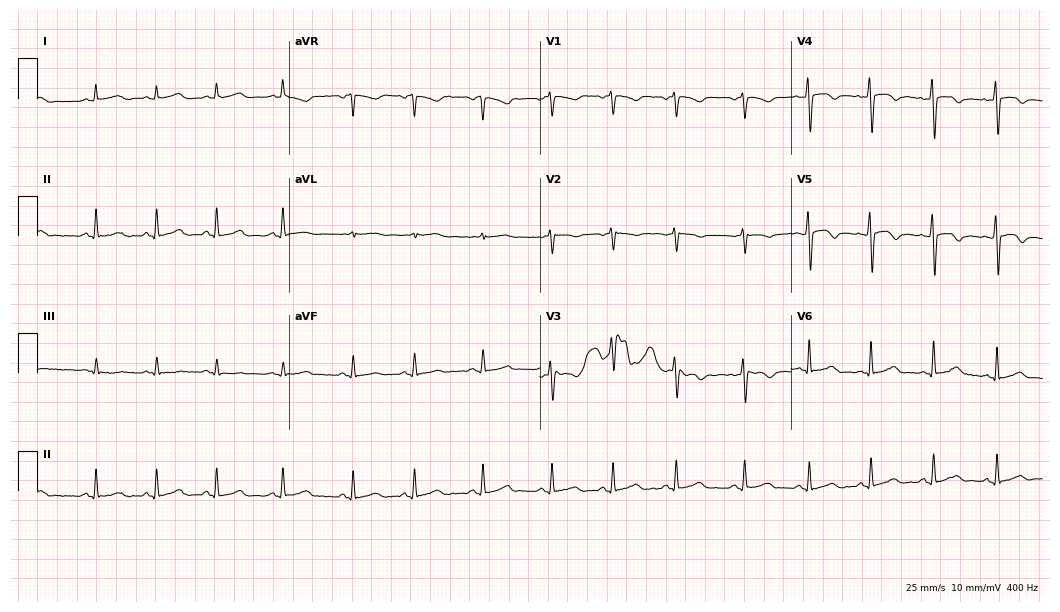
12-lead ECG from a 21-year-old woman (10.2-second recording at 400 Hz). Recorded interpretation: within normal limits.